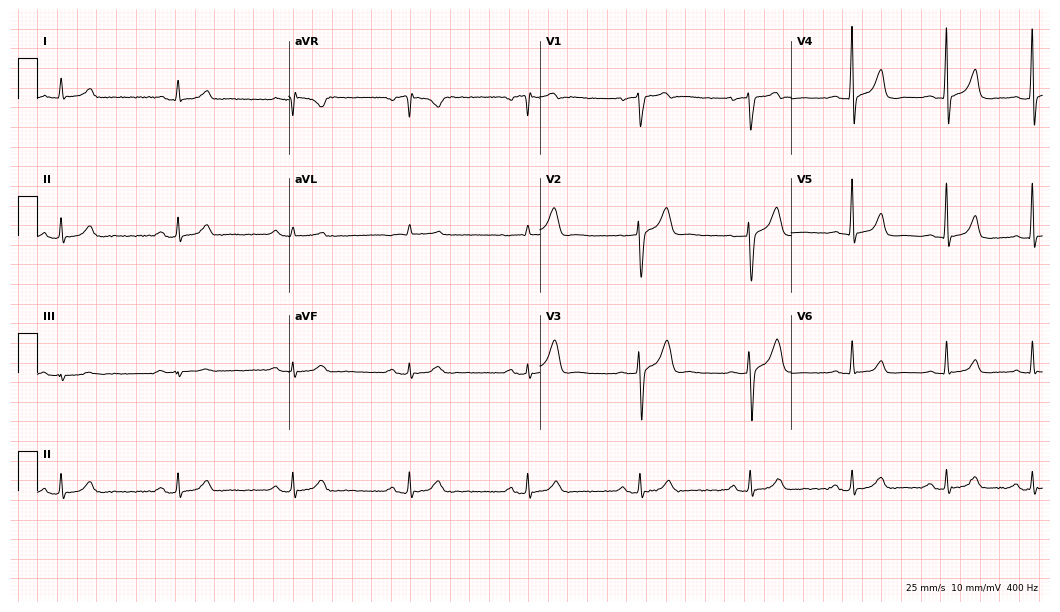
Electrocardiogram, a man, 48 years old. Overall reading on record: normal ECG.